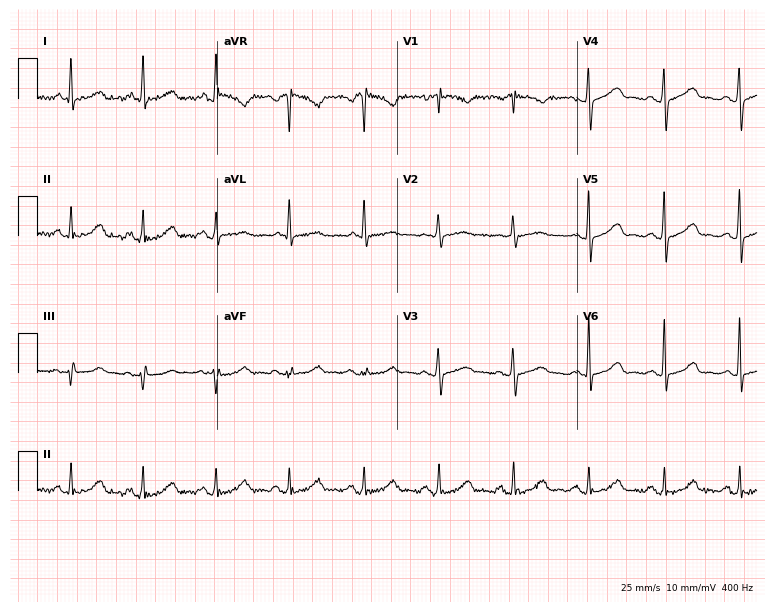
12-lead ECG from a female patient, 60 years old. Labelled as a normal ECG.